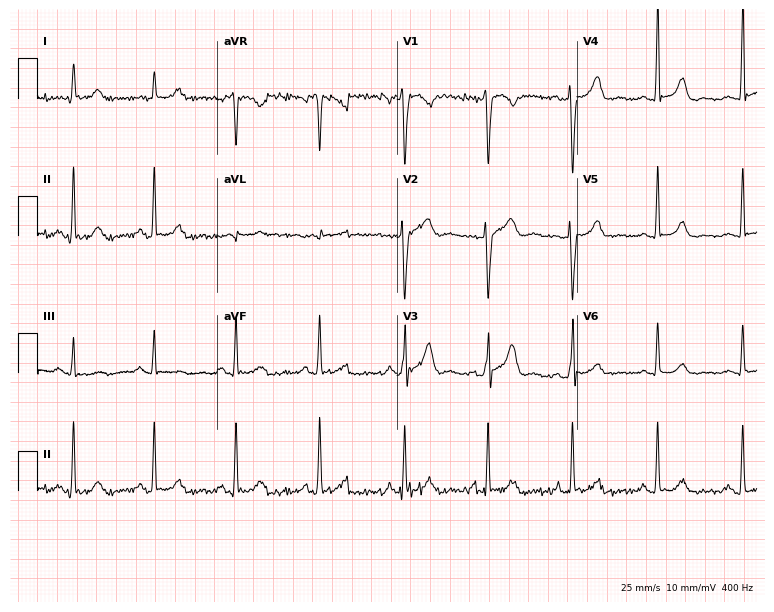
12-lead ECG from a woman, 33 years old. Screened for six findings — first-degree AV block, right bundle branch block (RBBB), left bundle branch block (LBBB), sinus bradycardia, atrial fibrillation (AF), sinus tachycardia — none is recorded. Only these six findings were labelled.